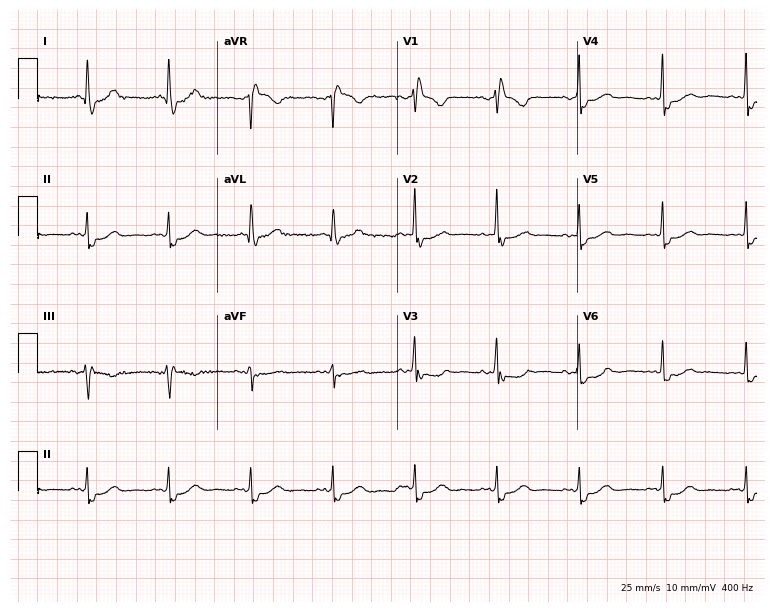
Resting 12-lead electrocardiogram. Patient: a 78-year-old female. The tracing shows right bundle branch block (RBBB).